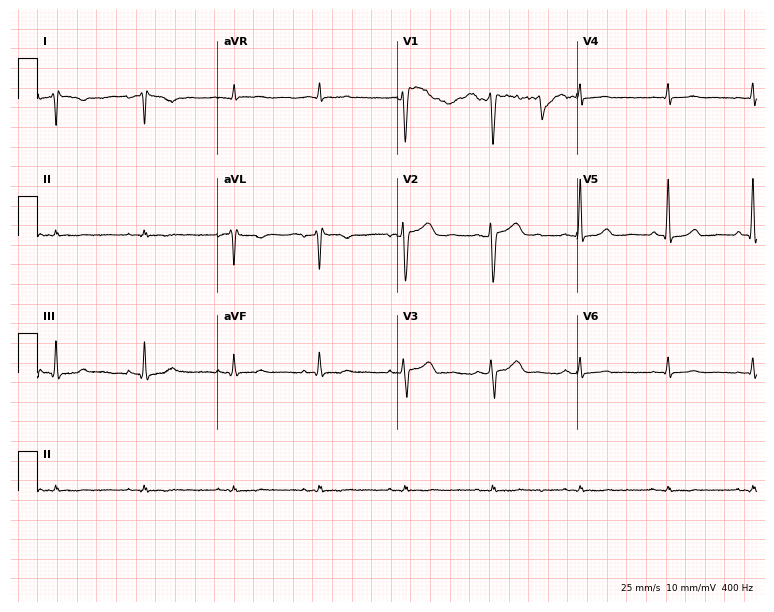
Electrocardiogram (7.3-second recording at 400 Hz), a female, 52 years old. Of the six screened findings (first-degree AV block, right bundle branch block, left bundle branch block, sinus bradycardia, atrial fibrillation, sinus tachycardia), none is recorded. Other findings, if any, are not listed.